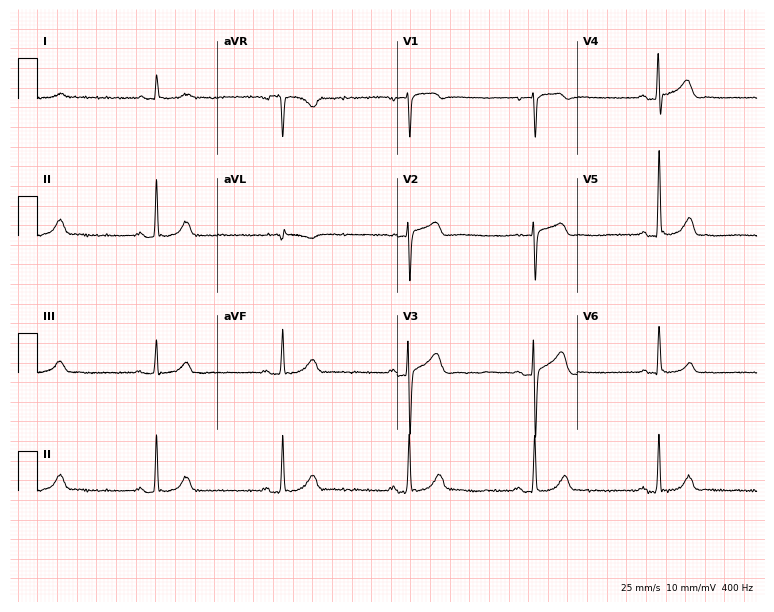
12-lead ECG from an 83-year-old man. Shows sinus bradycardia (a sinus rate of 50 beats per minute or less).